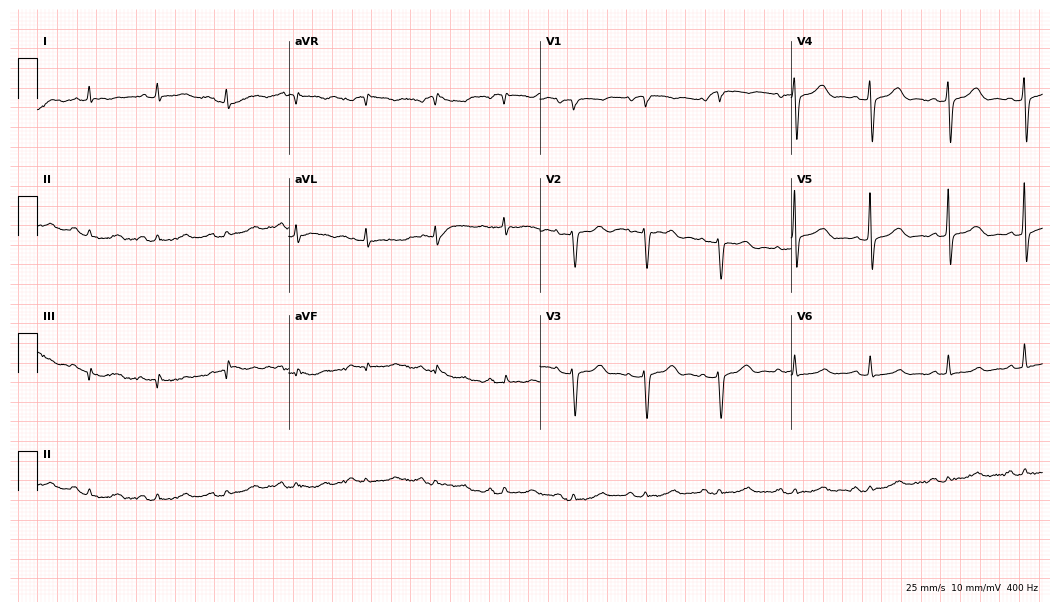
Standard 12-lead ECG recorded from an 84-year-old female patient. None of these six findings is recorded: first-degree AV block, right bundle branch block (RBBB), left bundle branch block (LBBB), sinus bradycardia, atrial fibrillation (AF), sinus tachycardia. Findings outside these six are not listed.